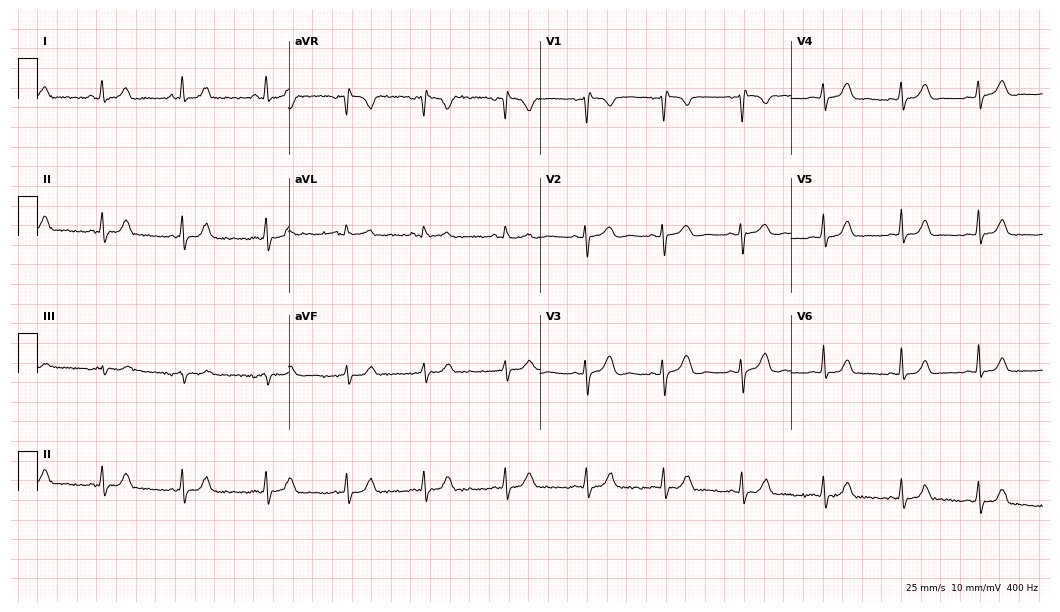
Electrocardiogram, a female patient, 29 years old. Of the six screened findings (first-degree AV block, right bundle branch block, left bundle branch block, sinus bradycardia, atrial fibrillation, sinus tachycardia), none is recorded.